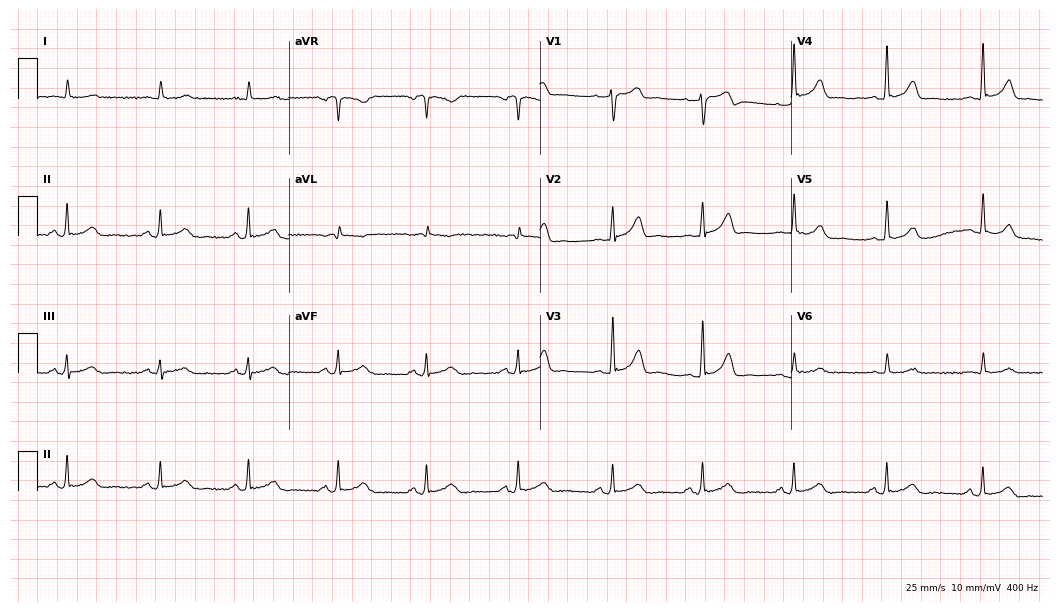
Resting 12-lead electrocardiogram. Patient: a male, 71 years old. Read as a normal ECG.